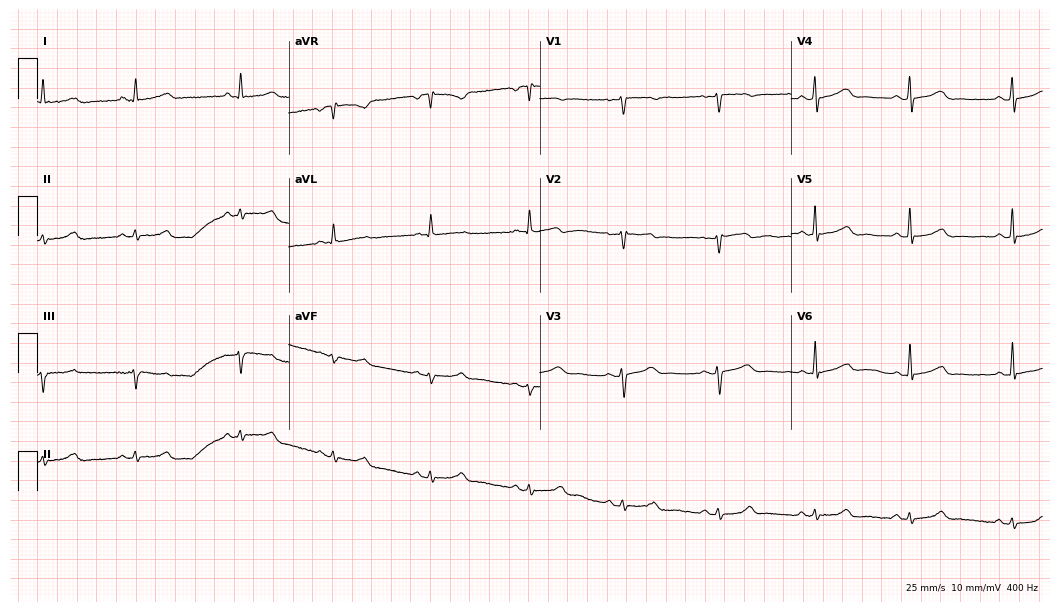
12-lead ECG from a 54-year-old female patient. Labelled as a normal ECG.